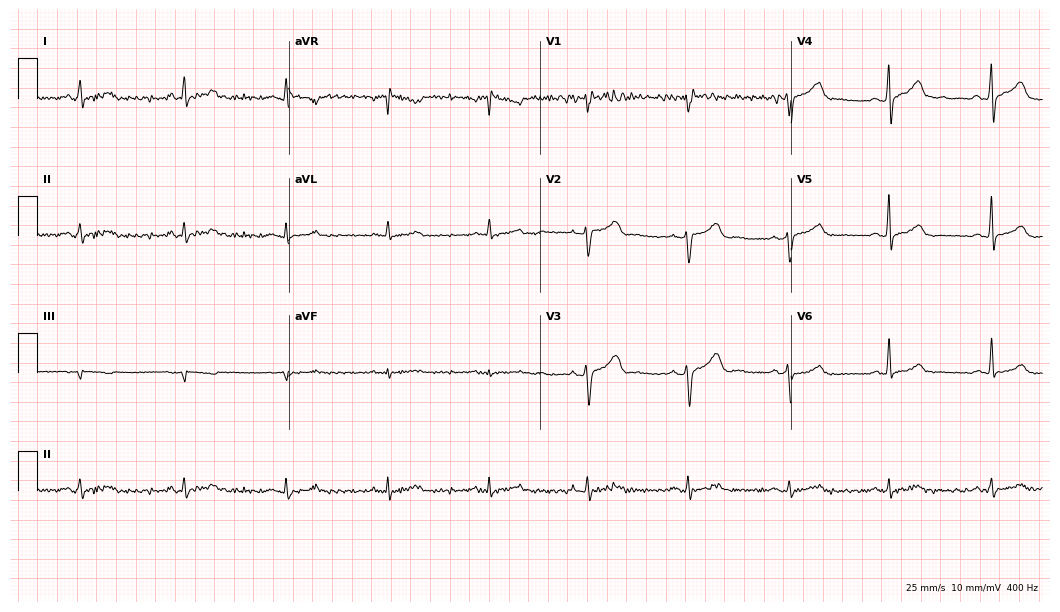
ECG — a male patient, 55 years old. Screened for six findings — first-degree AV block, right bundle branch block (RBBB), left bundle branch block (LBBB), sinus bradycardia, atrial fibrillation (AF), sinus tachycardia — none is recorded. Other findings, if any, are not listed.